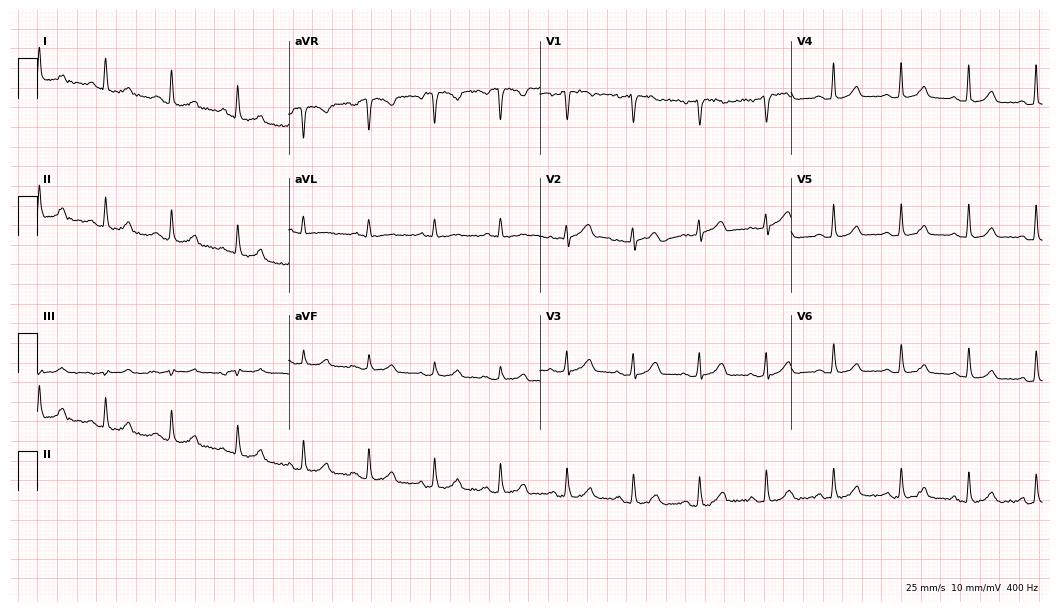
Standard 12-lead ECG recorded from a woman, 66 years old. Read as a normal ECG.